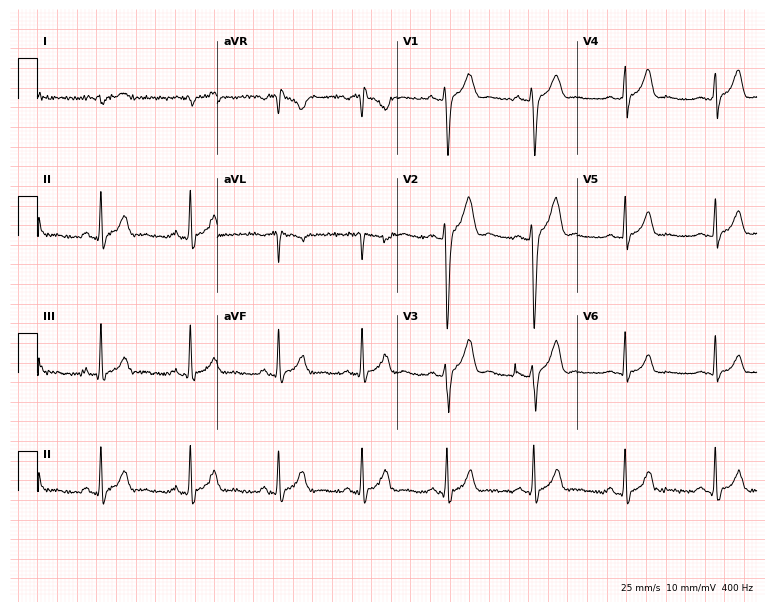
ECG (7.3-second recording at 400 Hz) — a 19-year-old male. Labelled as a normal ECG.